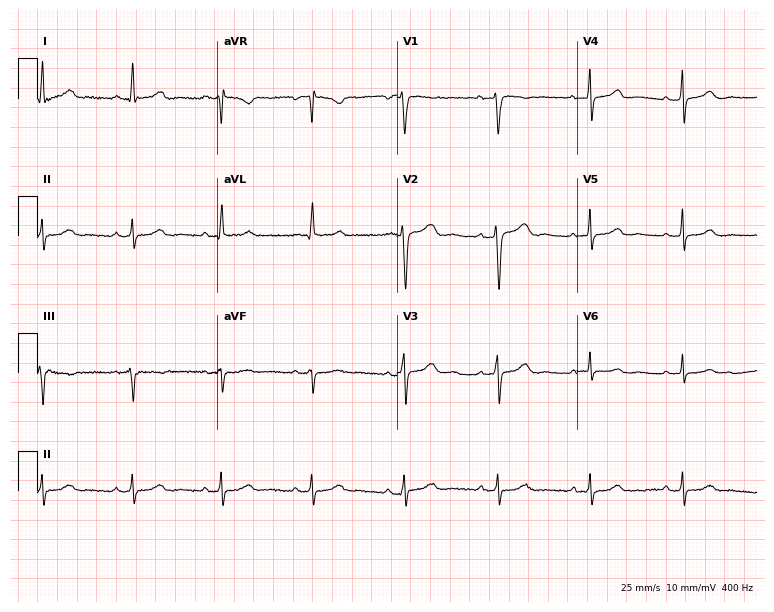
Resting 12-lead electrocardiogram. Patient: a woman, 37 years old. Read as a normal ECG.